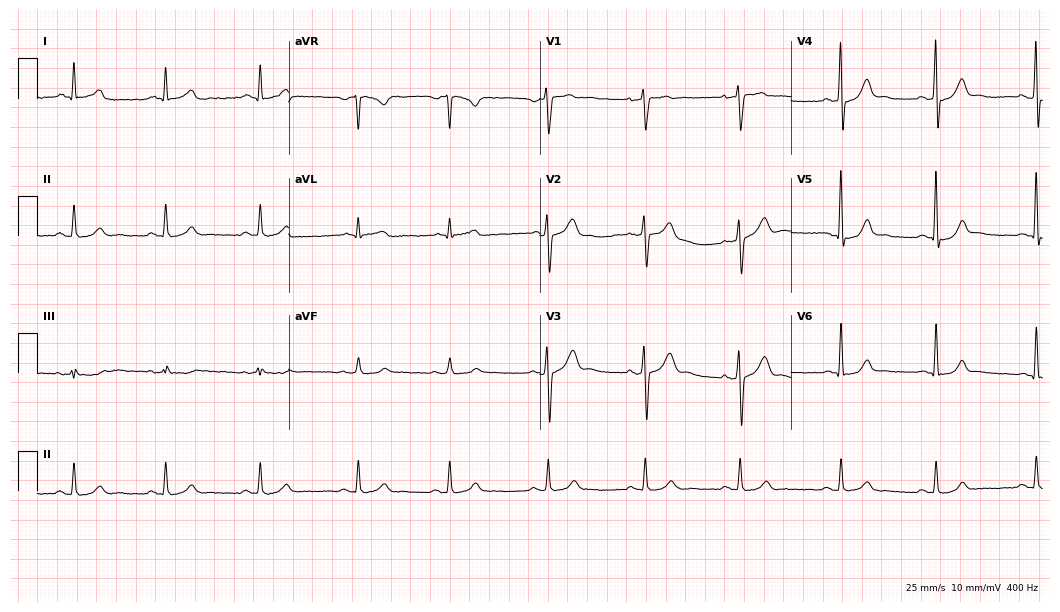
Electrocardiogram, a male patient, 46 years old. Overall reading on record: normal ECG.